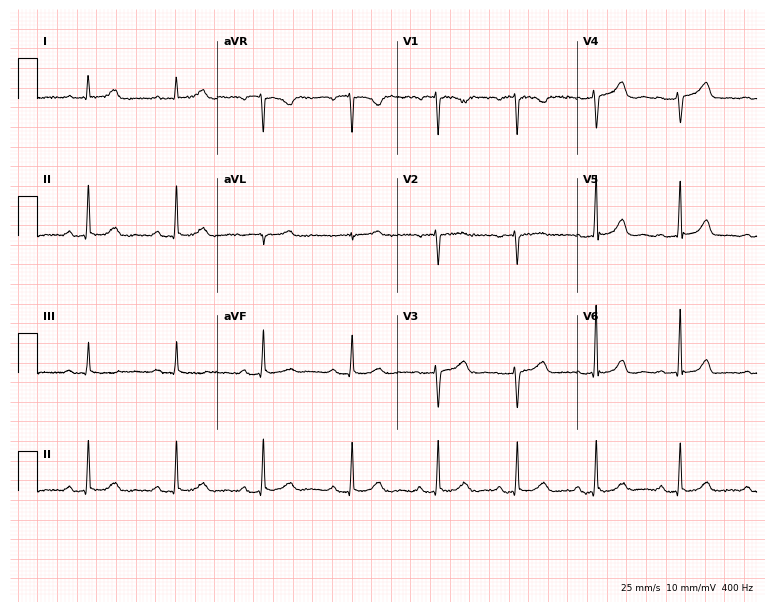
12-lead ECG (7.3-second recording at 400 Hz) from a 46-year-old female. Findings include first-degree AV block.